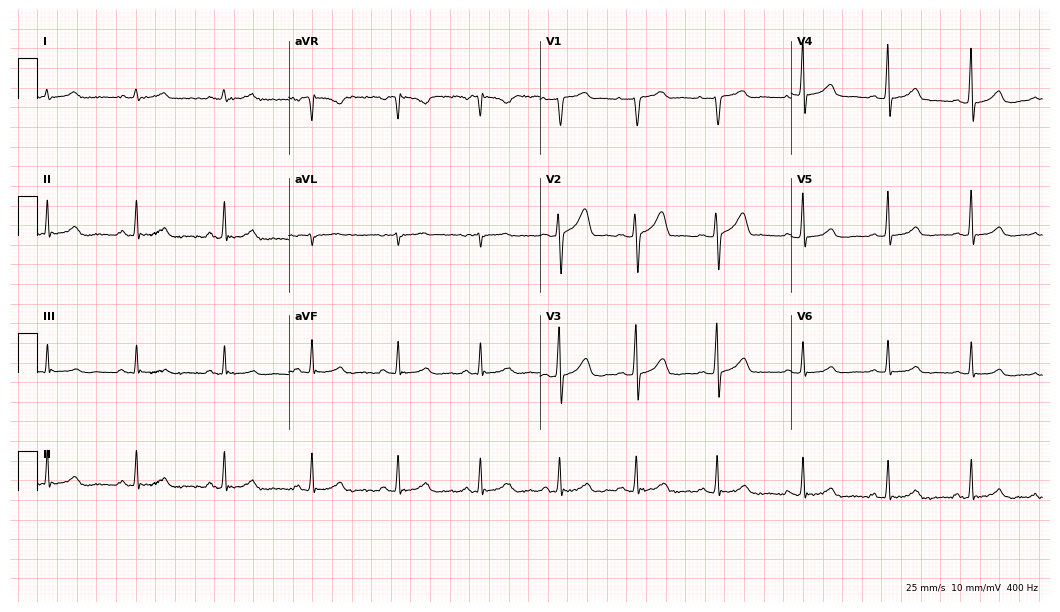
Standard 12-lead ECG recorded from a 28-year-old male. None of these six findings is recorded: first-degree AV block, right bundle branch block (RBBB), left bundle branch block (LBBB), sinus bradycardia, atrial fibrillation (AF), sinus tachycardia. Findings outside these six are not listed.